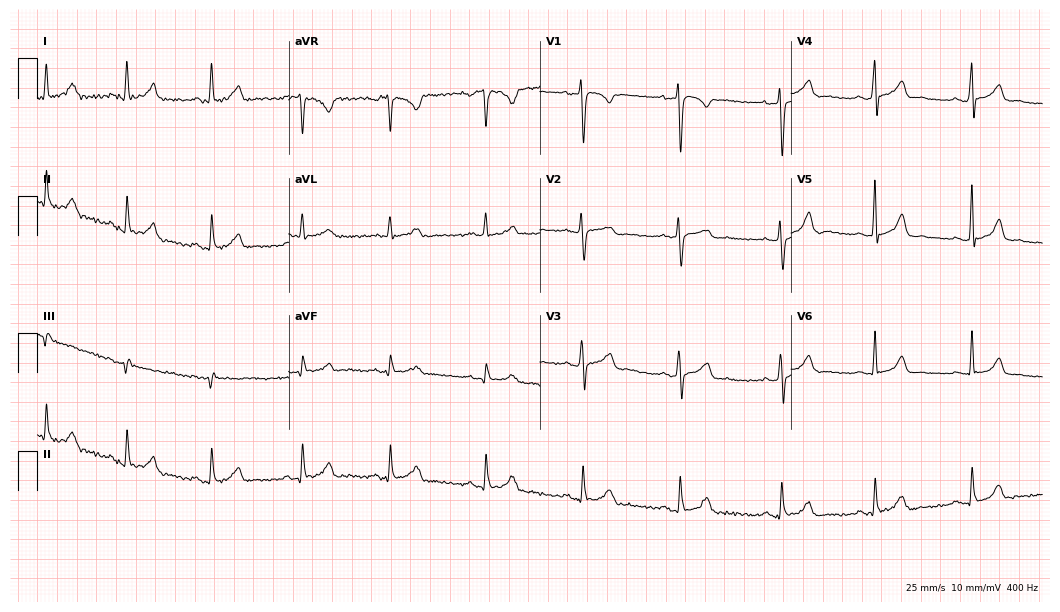
Resting 12-lead electrocardiogram (10.2-second recording at 400 Hz). Patient: a woman, 28 years old. Read as a normal ECG.